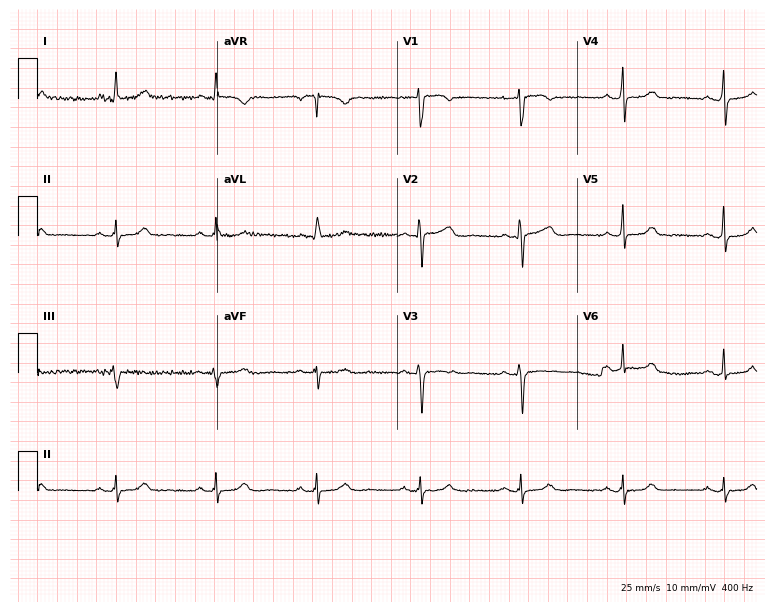
12-lead ECG from a 73-year-old woman. Screened for six findings — first-degree AV block, right bundle branch block, left bundle branch block, sinus bradycardia, atrial fibrillation, sinus tachycardia — none is recorded.